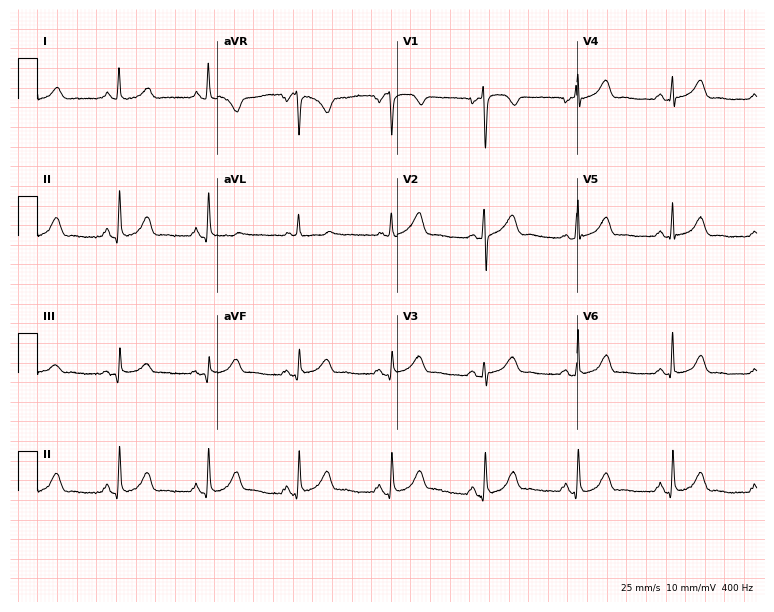
Electrocardiogram, a female, 56 years old. Of the six screened findings (first-degree AV block, right bundle branch block, left bundle branch block, sinus bradycardia, atrial fibrillation, sinus tachycardia), none is recorded.